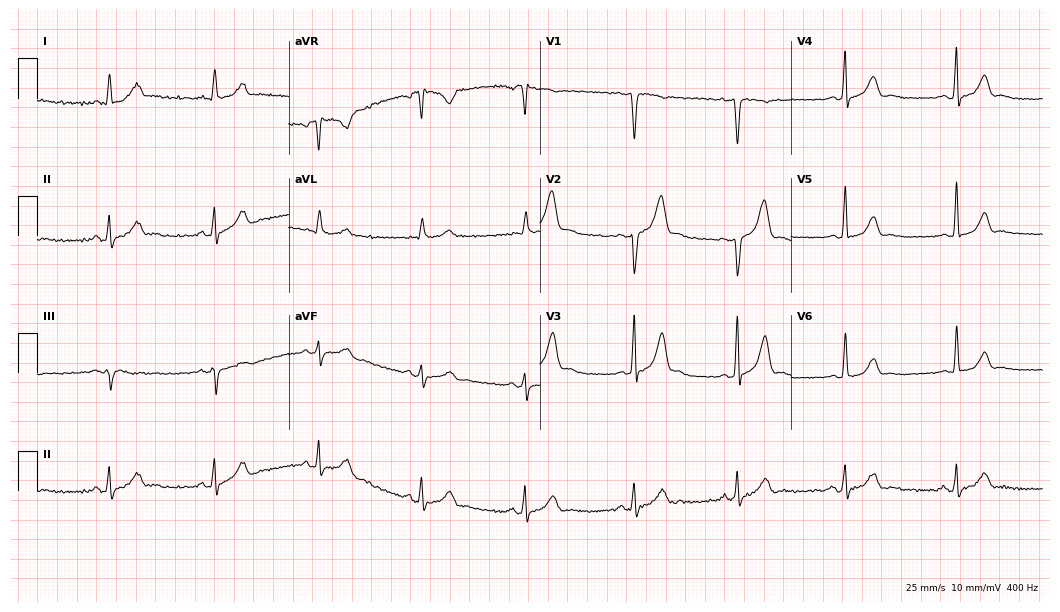
12-lead ECG from a man, 40 years old. Recorded interpretation: within normal limits.